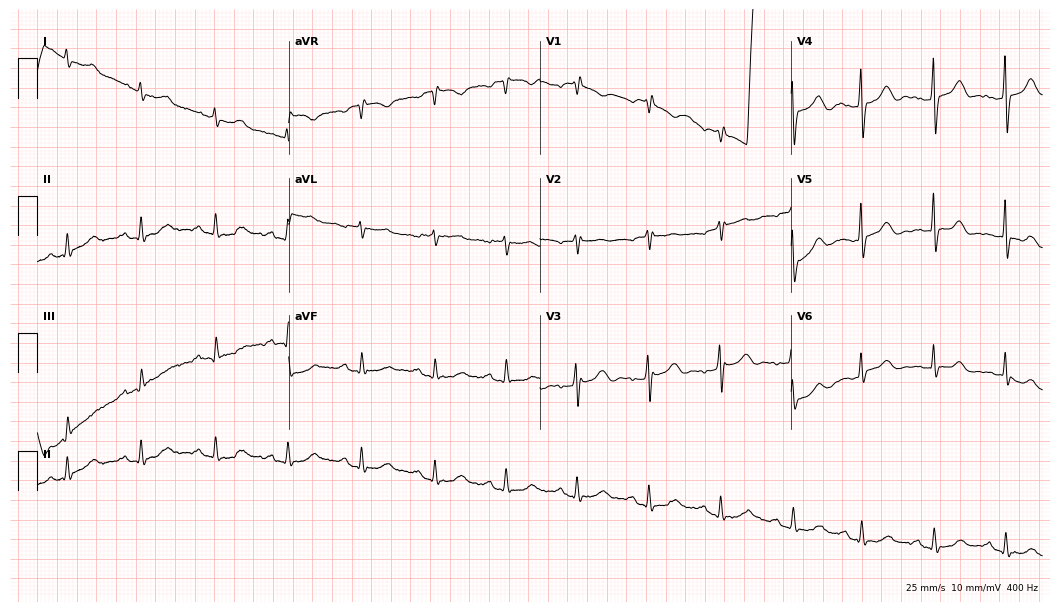
Resting 12-lead electrocardiogram. Patient: a man, 79 years old. None of these six findings is recorded: first-degree AV block, right bundle branch block, left bundle branch block, sinus bradycardia, atrial fibrillation, sinus tachycardia. Only these six findings were labelled.